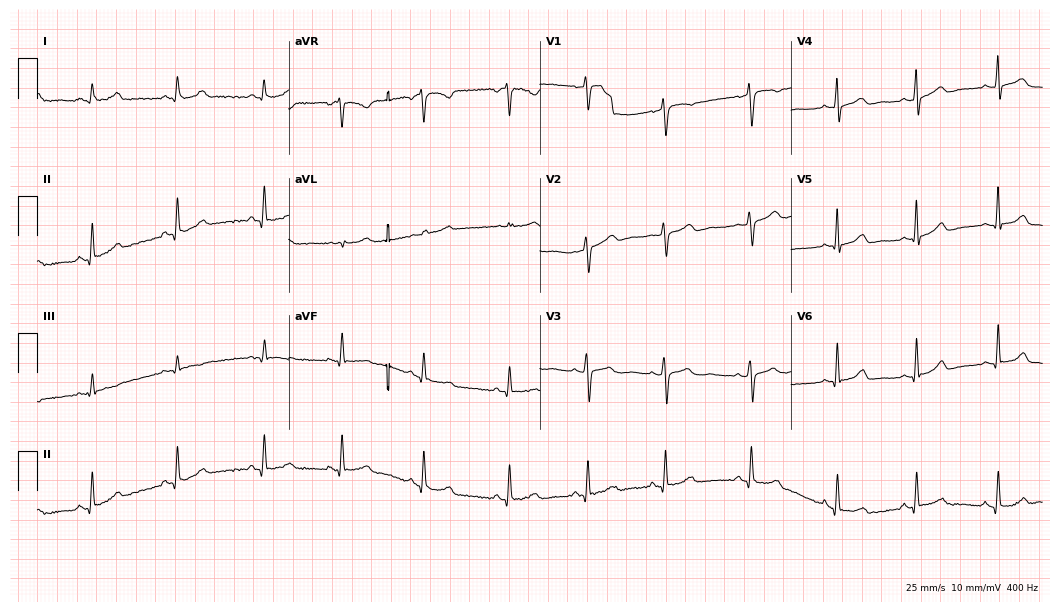
12-lead ECG from a woman, 28 years old. Recorded interpretation: within normal limits.